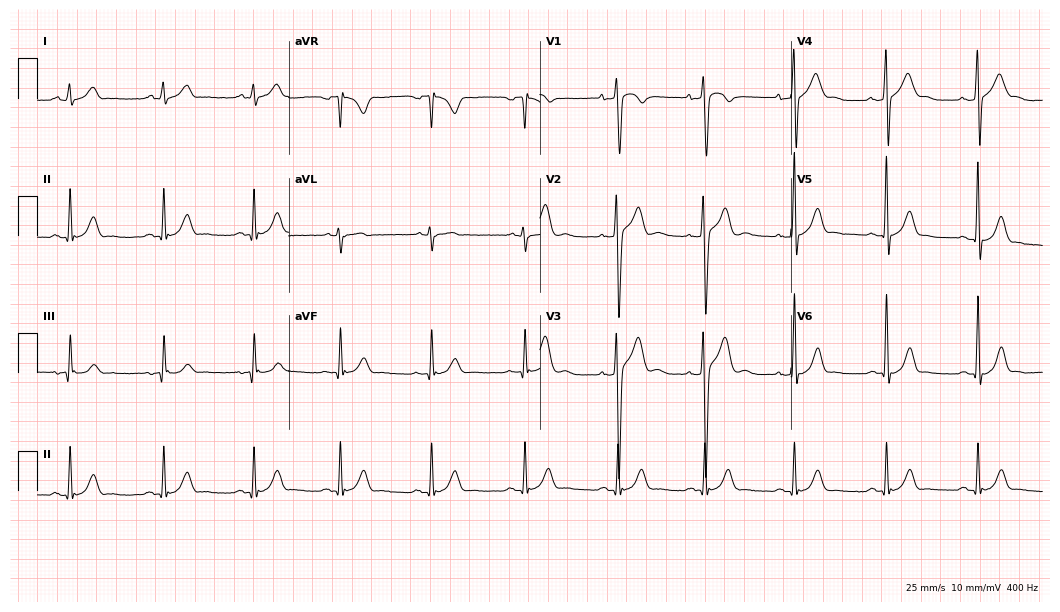
12-lead ECG from a male patient, 24 years old. Screened for six findings — first-degree AV block, right bundle branch block, left bundle branch block, sinus bradycardia, atrial fibrillation, sinus tachycardia — none is recorded.